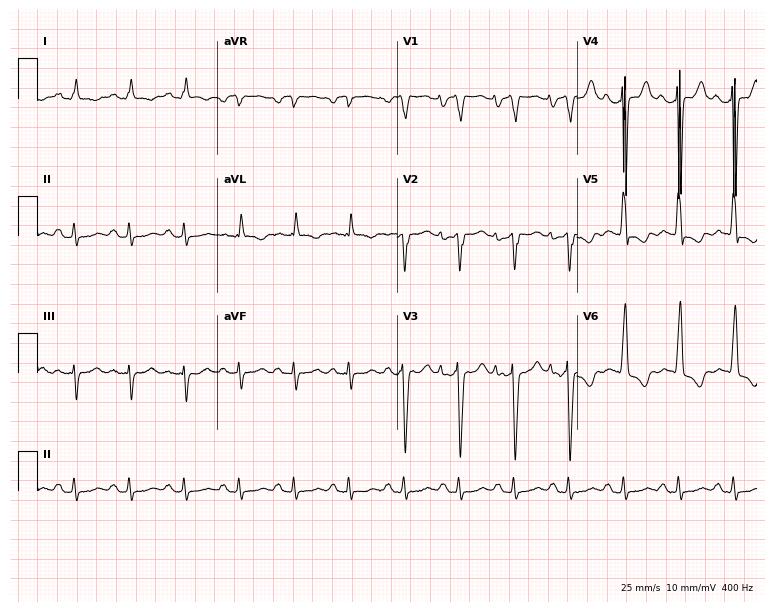
Electrocardiogram, a male patient, 48 years old. Interpretation includes sinus tachycardia (a sinus rate of 100 beats per minute or more).